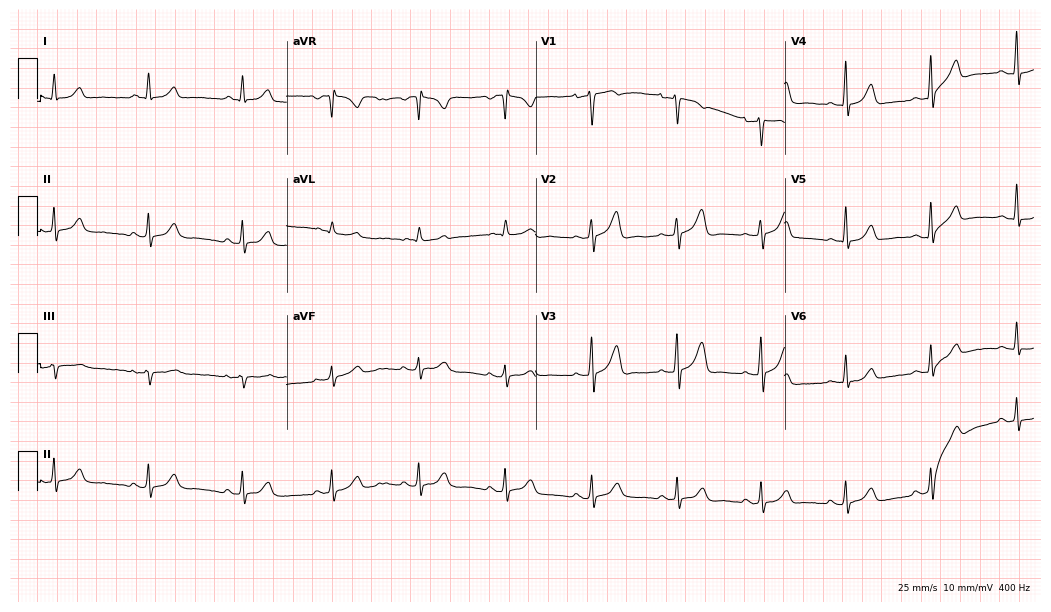
Standard 12-lead ECG recorded from a woman, 43 years old (10.2-second recording at 400 Hz). Read as a normal ECG.